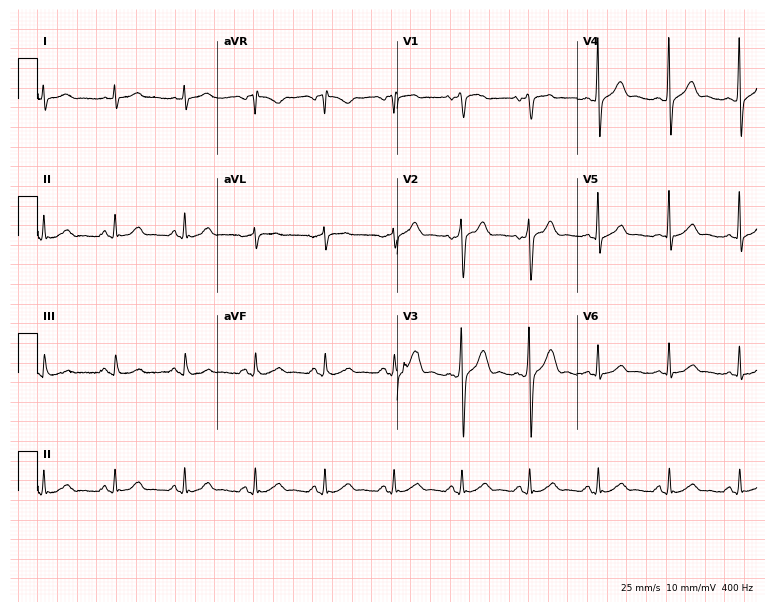
ECG — a 42-year-old man. Labelled as a normal ECG.